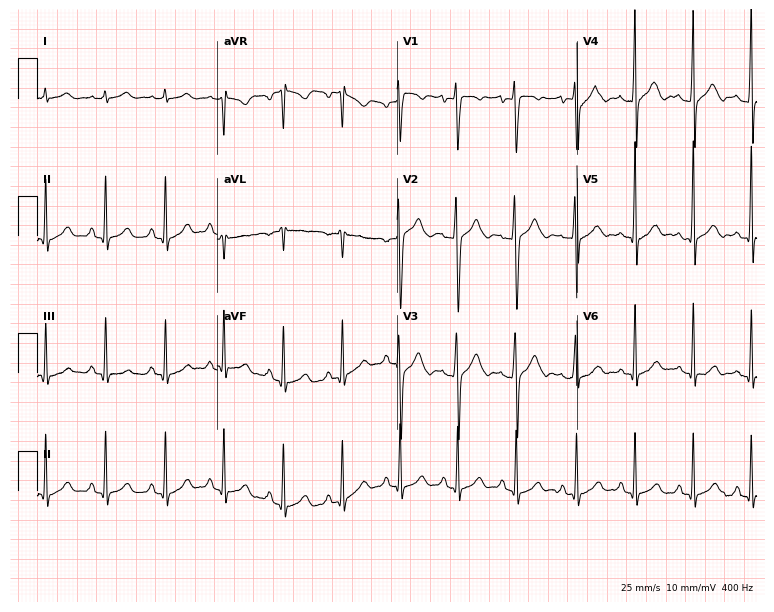
Standard 12-lead ECG recorded from a 19-year-old man (7.3-second recording at 400 Hz). Read as a normal ECG.